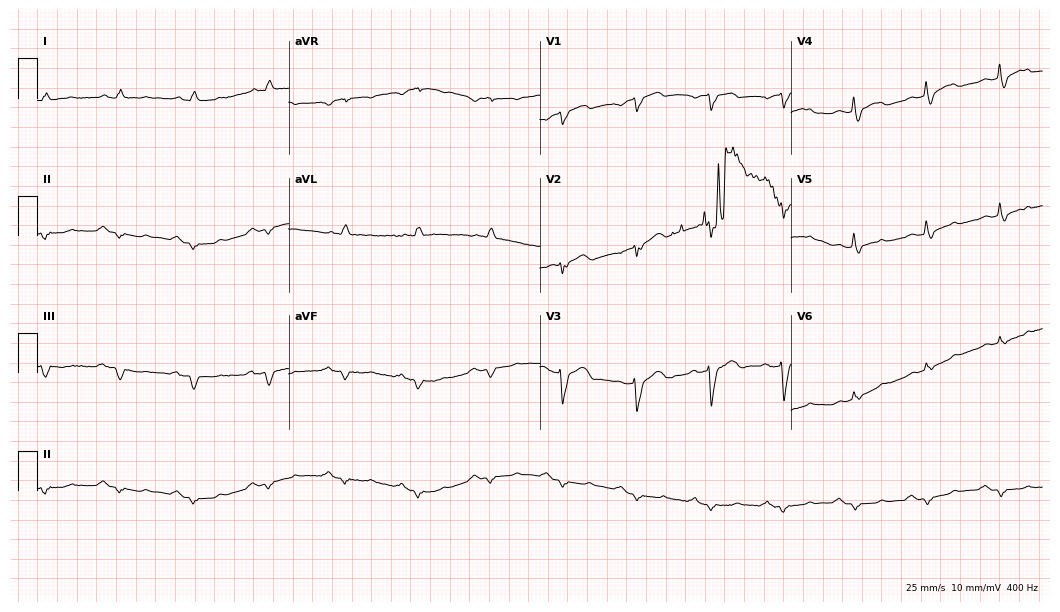
Resting 12-lead electrocardiogram (10.2-second recording at 400 Hz). Patient: a 67-year-old woman. None of these six findings is recorded: first-degree AV block, right bundle branch block, left bundle branch block, sinus bradycardia, atrial fibrillation, sinus tachycardia.